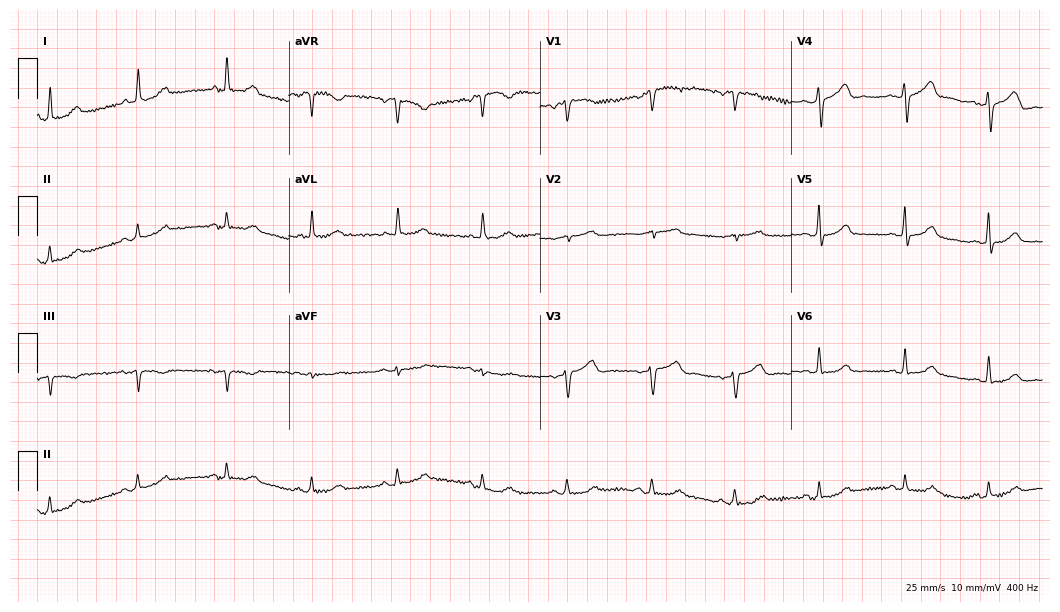
12-lead ECG (10.2-second recording at 400 Hz) from a 59-year-old female patient. Labelled as a normal ECG.